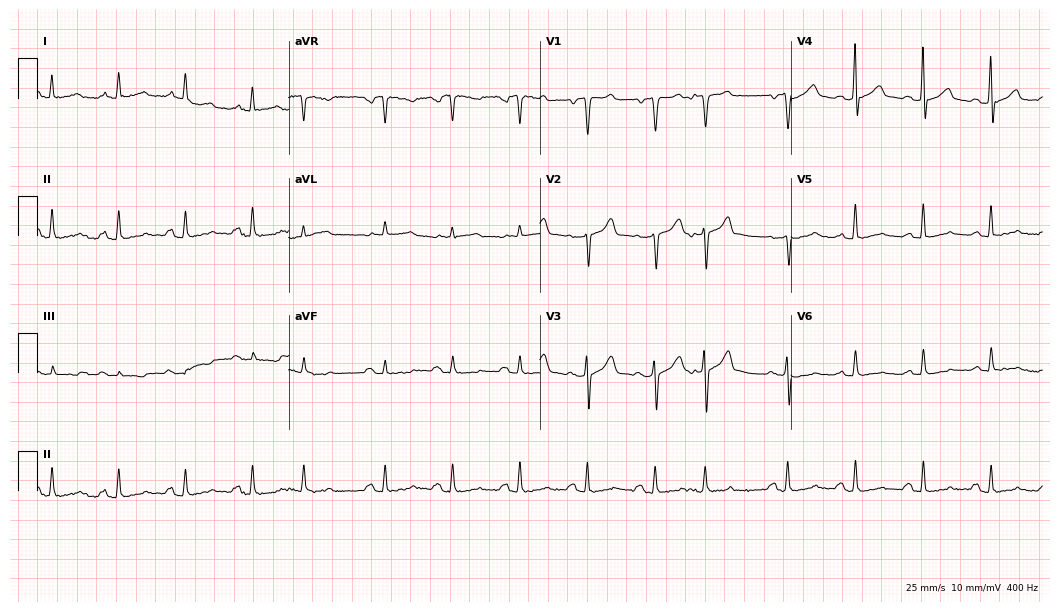
Standard 12-lead ECG recorded from a 61-year-old male patient (10.2-second recording at 400 Hz). None of these six findings is recorded: first-degree AV block, right bundle branch block, left bundle branch block, sinus bradycardia, atrial fibrillation, sinus tachycardia. Findings outside these six are not listed.